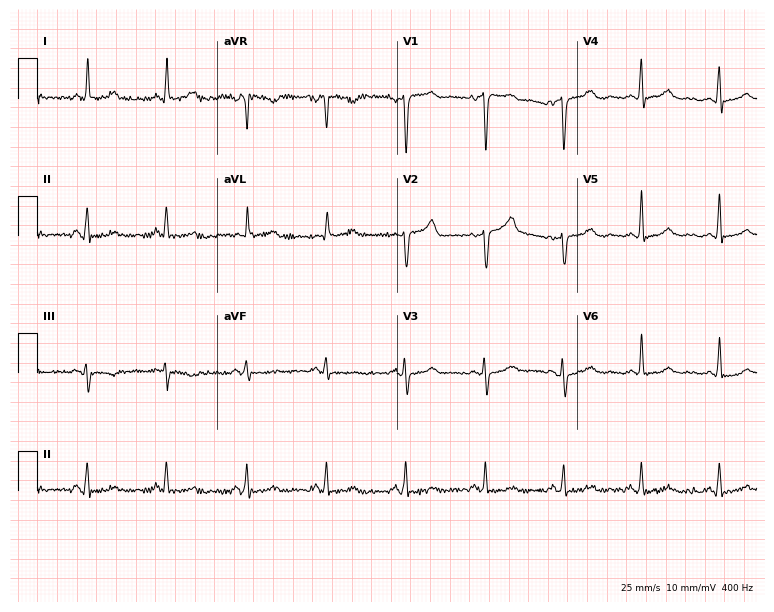
12-lead ECG from a woman, 56 years old. Recorded interpretation: within normal limits.